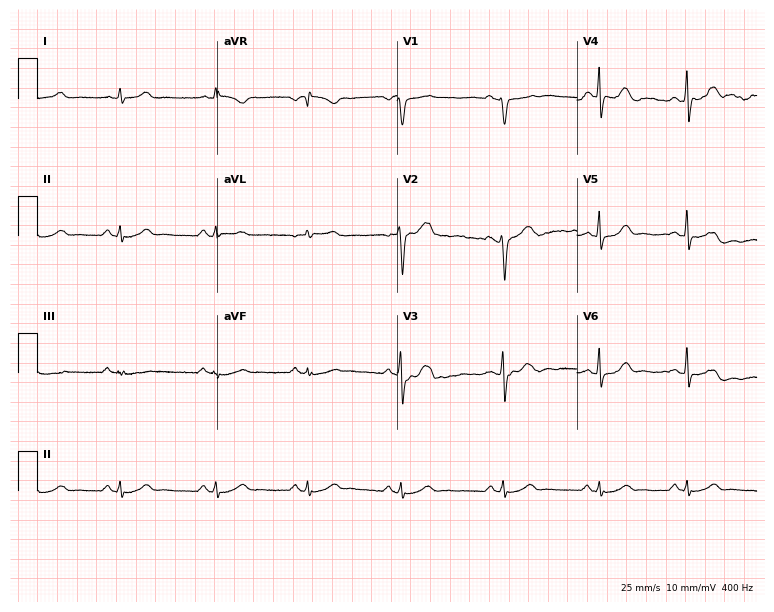
ECG (7.3-second recording at 400 Hz) — a female patient, 28 years old. Labelled as a normal ECG.